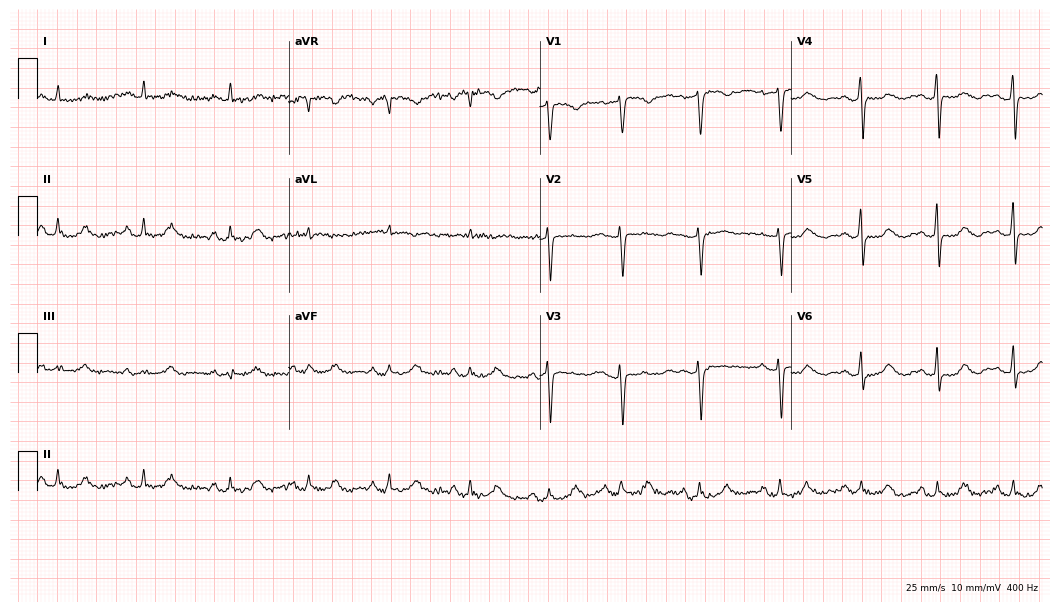
Electrocardiogram, a 48-year-old female patient. Of the six screened findings (first-degree AV block, right bundle branch block, left bundle branch block, sinus bradycardia, atrial fibrillation, sinus tachycardia), none is recorded. Only these six findings were labelled.